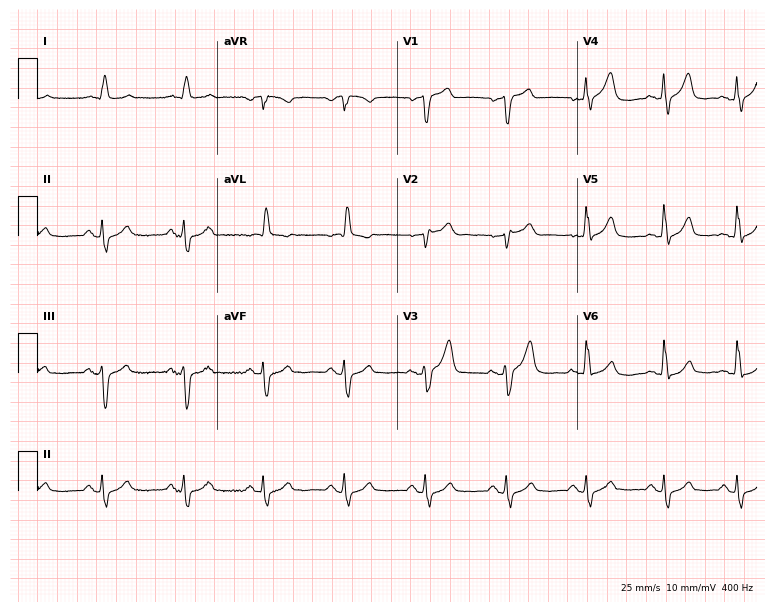
Electrocardiogram (7.3-second recording at 400 Hz), a 77-year-old male patient. Of the six screened findings (first-degree AV block, right bundle branch block, left bundle branch block, sinus bradycardia, atrial fibrillation, sinus tachycardia), none is recorded. Findings outside these six are not listed.